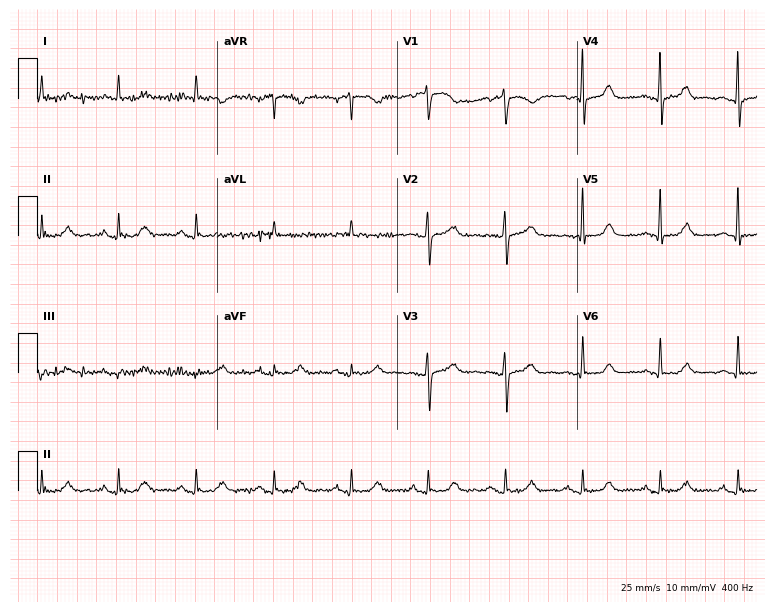
ECG (7.3-second recording at 400 Hz) — a 75-year-old female. Screened for six findings — first-degree AV block, right bundle branch block, left bundle branch block, sinus bradycardia, atrial fibrillation, sinus tachycardia — none is recorded.